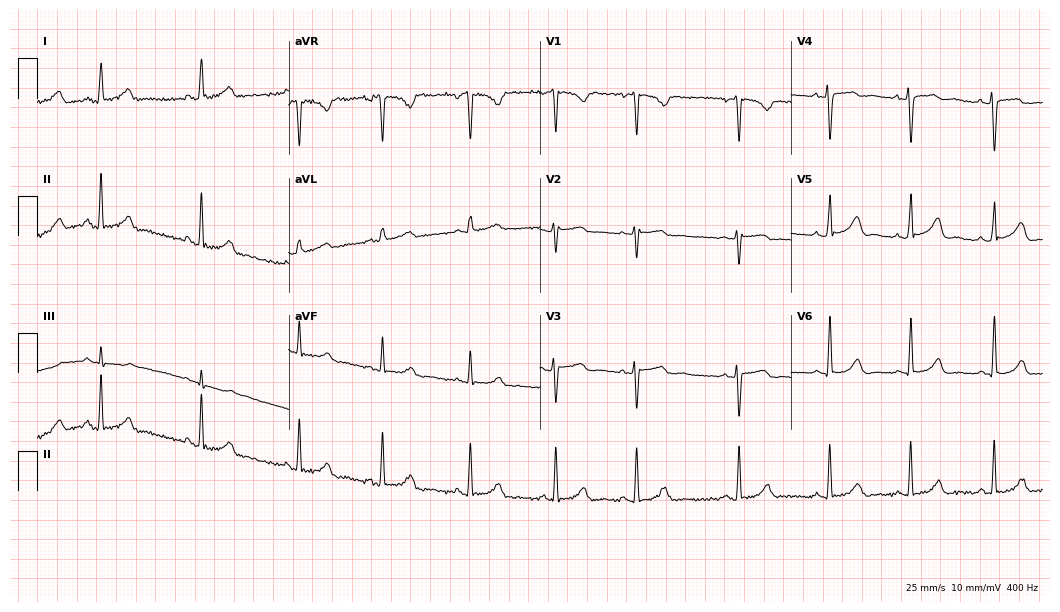
12-lead ECG (10.2-second recording at 400 Hz) from a 27-year-old female. Labelled as a normal ECG.